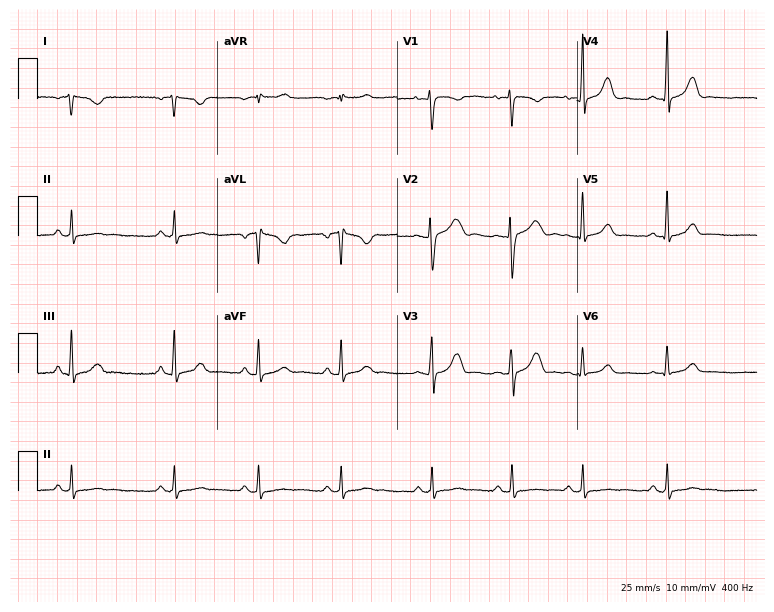
ECG (7.3-second recording at 400 Hz) — a female patient, 22 years old. Screened for six findings — first-degree AV block, right bundle branch block, left bundle branch block, sinus bradycardia, atrial fibrillation, sinus tachycardia — none is recorded. Findings outside these six are not listed.